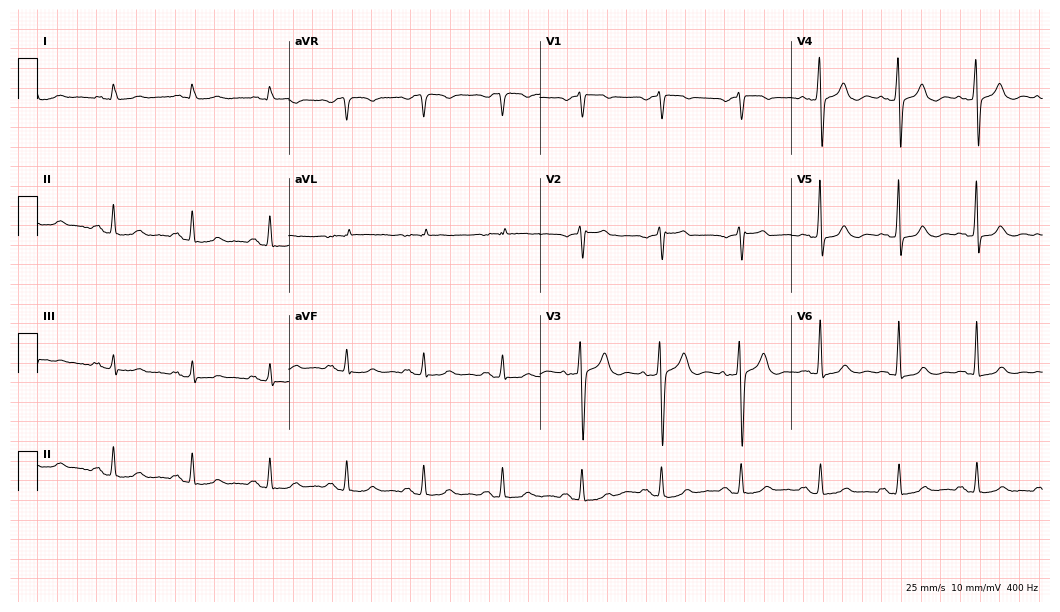
Electrocardiogram, an 85-year-old female patient. Overall reading on record: normal ECG.